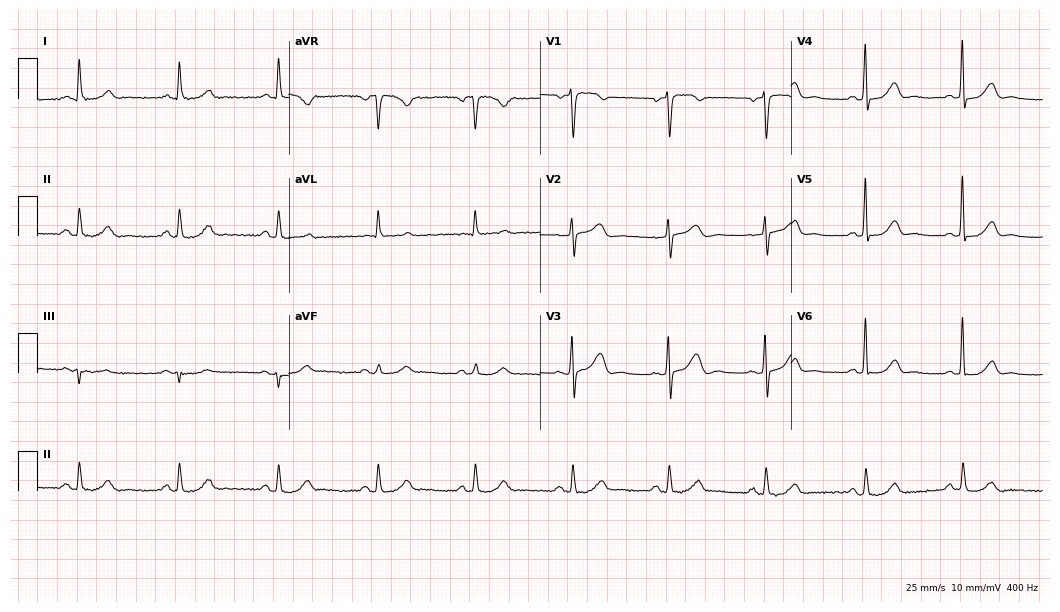
Electrocardiogram (10.2-second recording at 400 Hz), a female, 66 years old. Of the six screened findings (first-degree AV block, right bundle branch block (RBBB), left bundle branch block (LBBB), sinus bradycardia, atrial fibrillation (AF), sinus tachycardia), none is recorded.